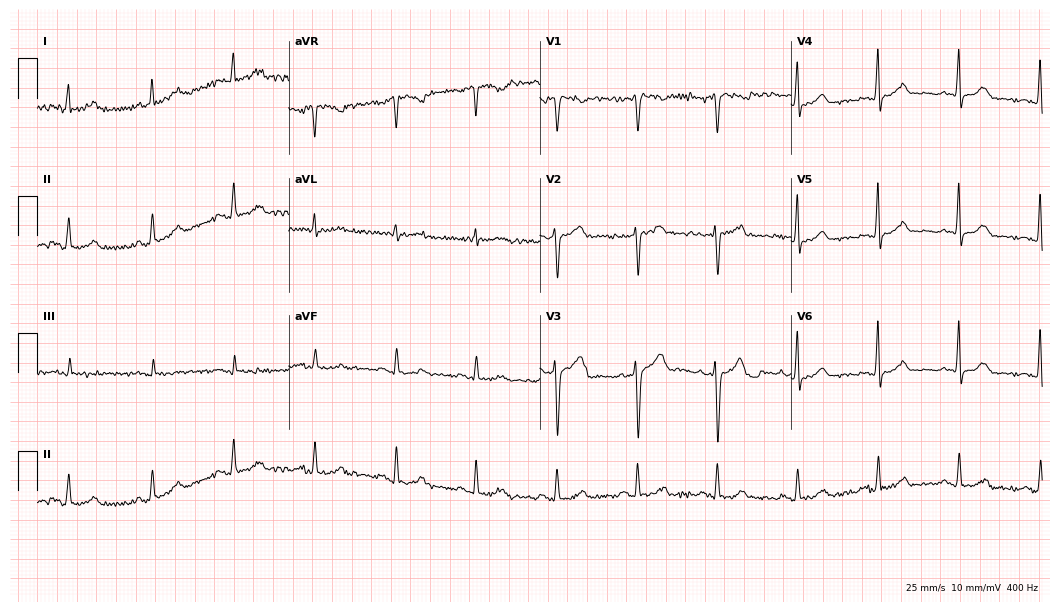
ECG (10.2-second recording at 400 Hz) — a male, 36 years old. Labelled as a normal ECG.